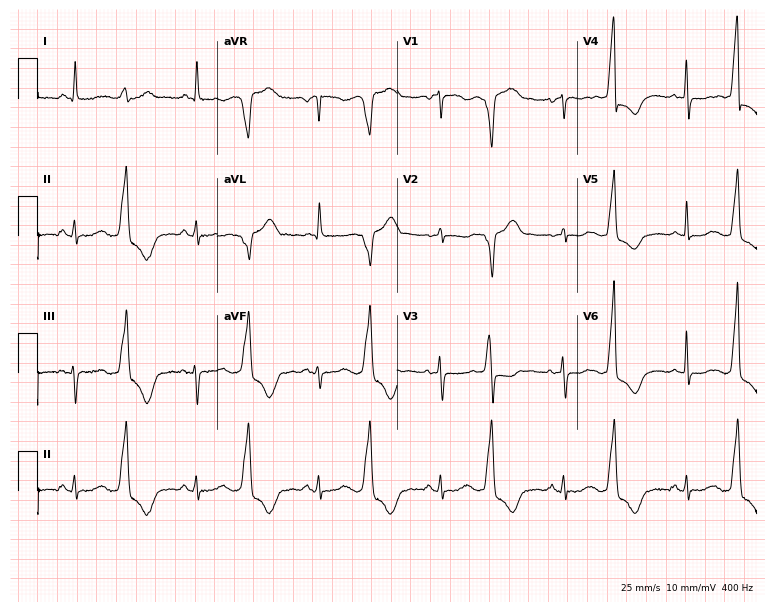
12-lead ECG from a woman, 67 years old (7.3-second recording at 400 Hz). No first-degree AV block, right bundle branch block, left bundle branch block, sinus bradycardia, atrial fibrillation or sinus tachycardia recorded for this tracing. Findings outside these six are not listed.